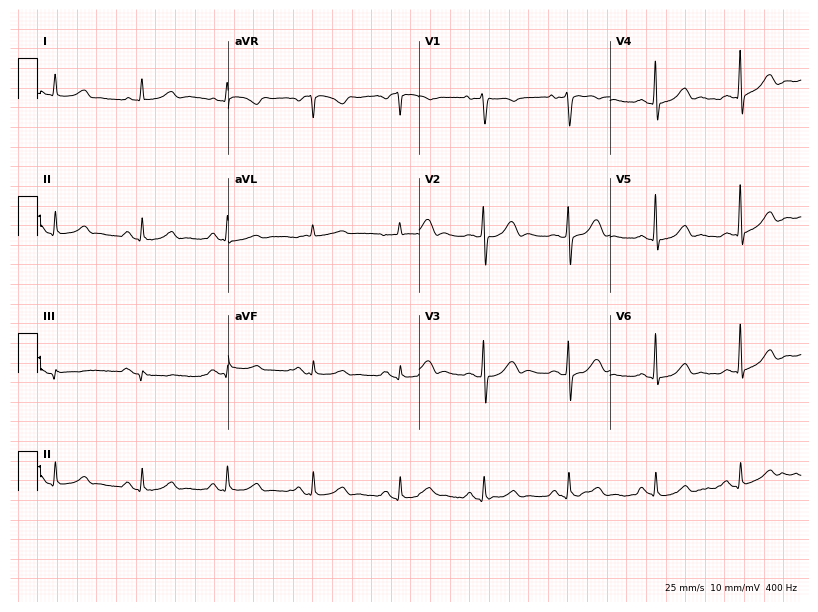
Electrocardiogram (7.8-second recording at 400 Hz), a 71-year-old woman. Of the six screened findings (first-degree AV block, right bundle branch block, left bundle branch block, sinus bradycardia, atrial fibrillation, sinus tachycardia), none is recorded. Only these six findings were labelled.